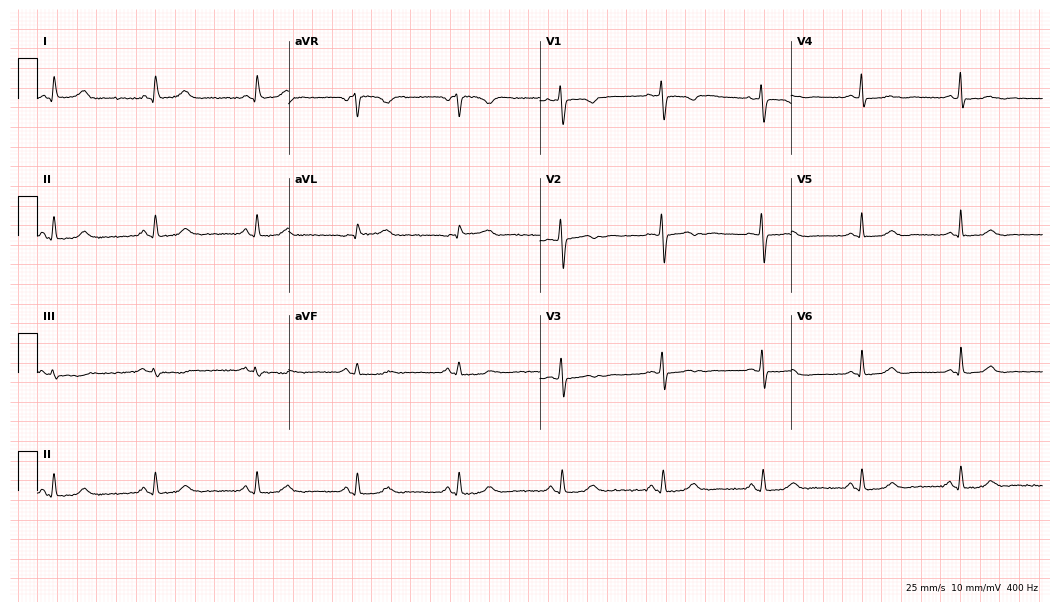
Resting 12-lead electrocardiogram (10.2-second recording at 400 Hz). Patient: a 50-year-old female. Read as a normal ECG.